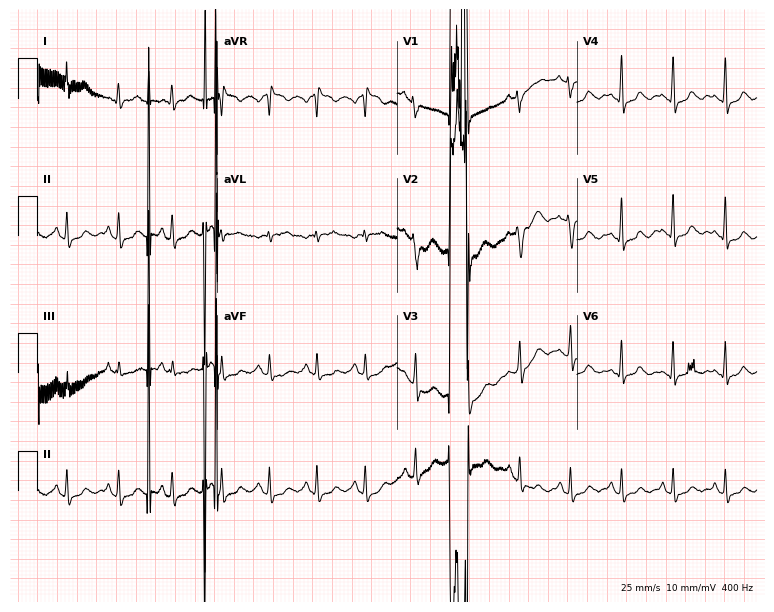
12-lead ECG from a female patient, 42 years old. No first-degree AV block, right bundle branch block, left bundle branch block, sinus bradycardia, atrial fibrillation or sinus tachycardia recorded for this tracing. Findings outside these six are not listed.